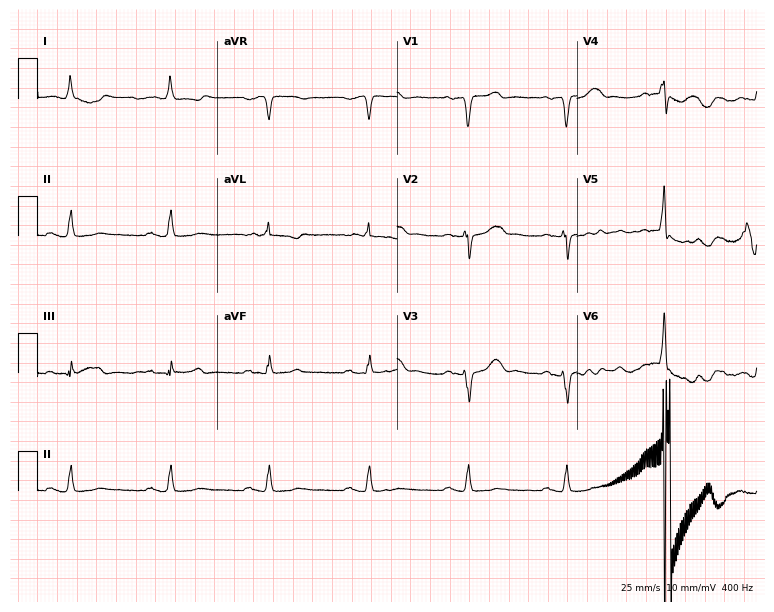
ECG — a 71-year-old male. Screened for six findings — first-degree AV block, right bundle branch block, left bundle branch block, sinus bradycardia, atrial fibrillation, sinus tachycardia — none is recorded. Findings outside these six are not listed.